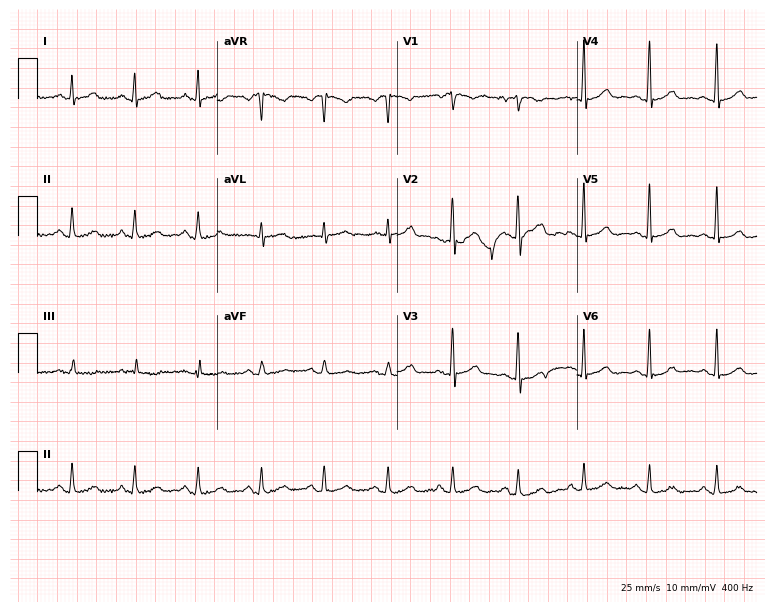
ECG (7.3-second recording at 400 Hz) — a female patient, 43 years old. Screened for six findings — first-degree AV block, right bundle branch block, left bundle branch block, sinus bradycardia, atrial fibrillation, sinus tachycardia — none is recorded.